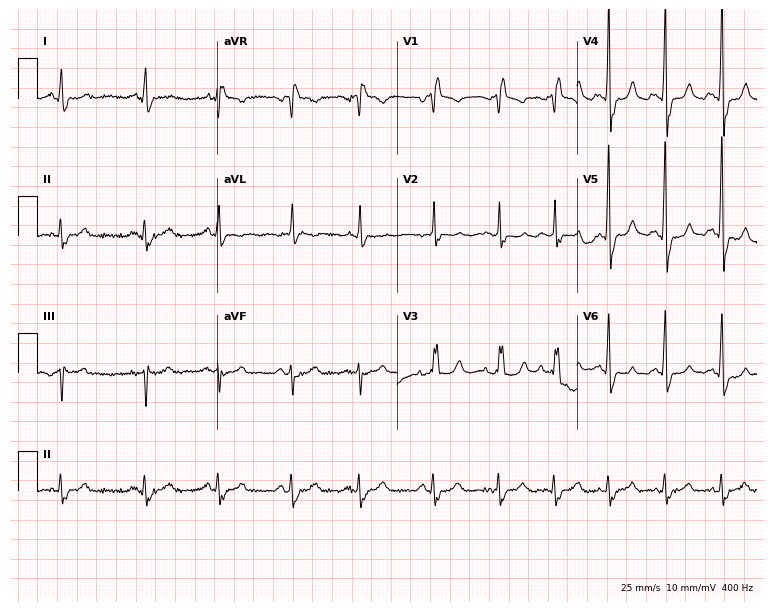
ECG — an 85-year-old male patient. Findings include right bundle branch block (RBBB).